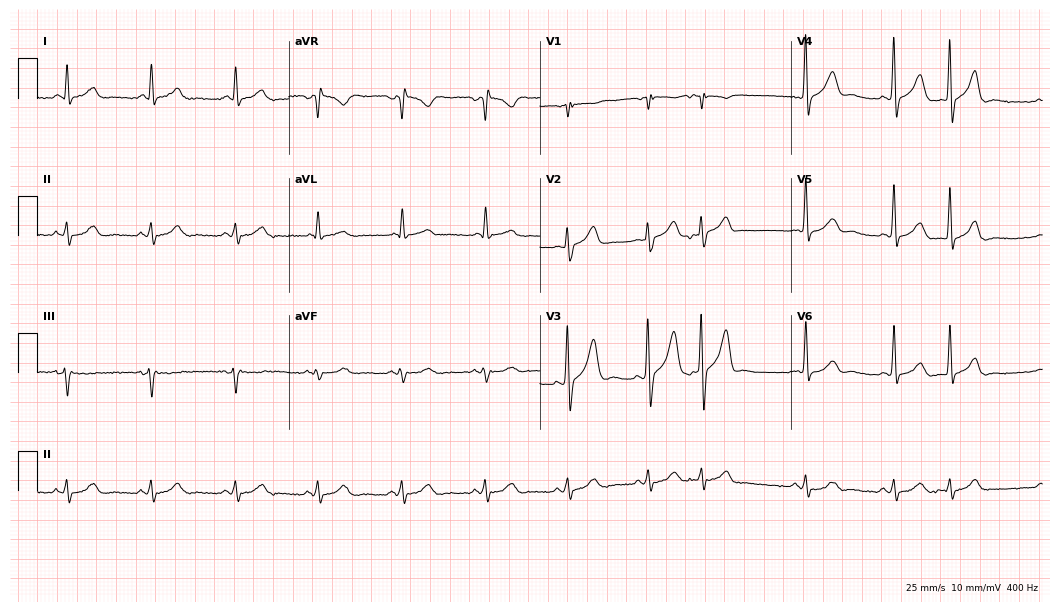
Resting 12-lead electrocardiogram (10.2-second recording at 400 Hz). Patient: a 72-year-old male. None of these six findings is recorded: first-degree AV block, right bundle branch block, left bundle branch block, sinus bradycardia, atrial fibrillation, sinus tachycardia. Only these six findings were labelled.